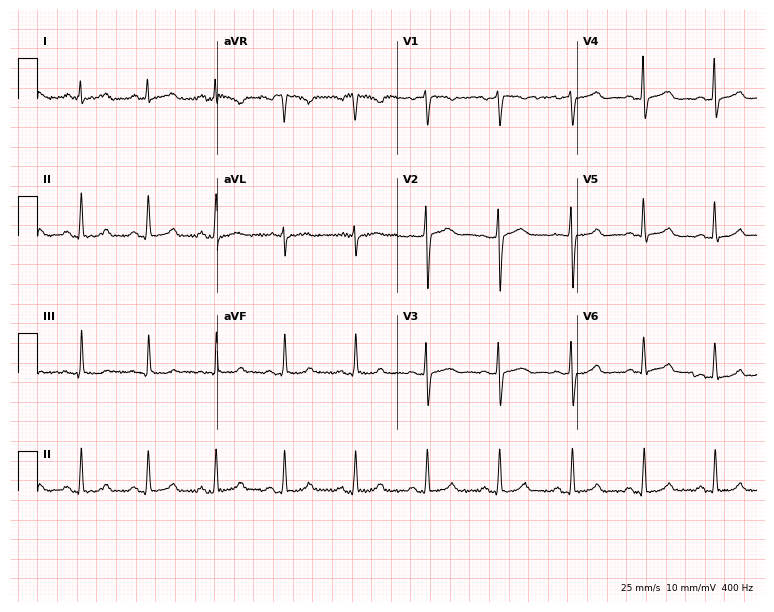
ECG — a female patient, 52 years old. Labelled as a normal ECG.